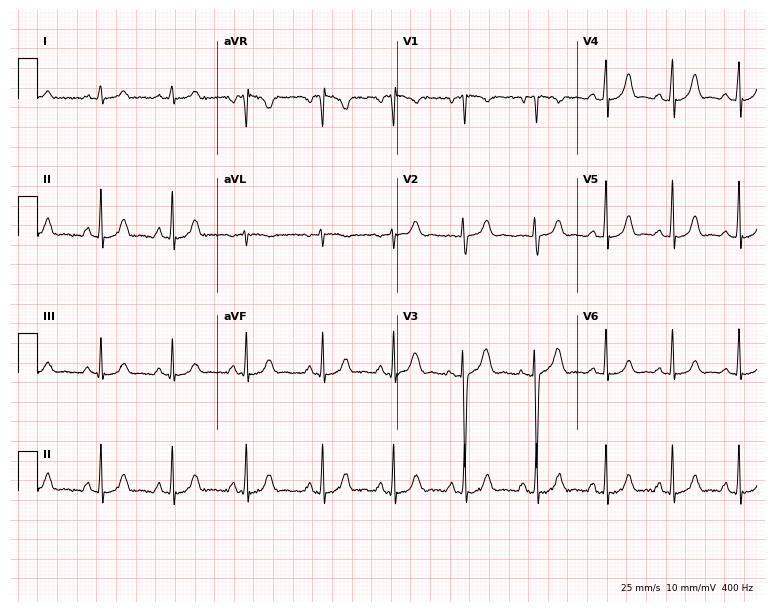
ECG — a woman, 25 years old. Labelled as a normal ECG.